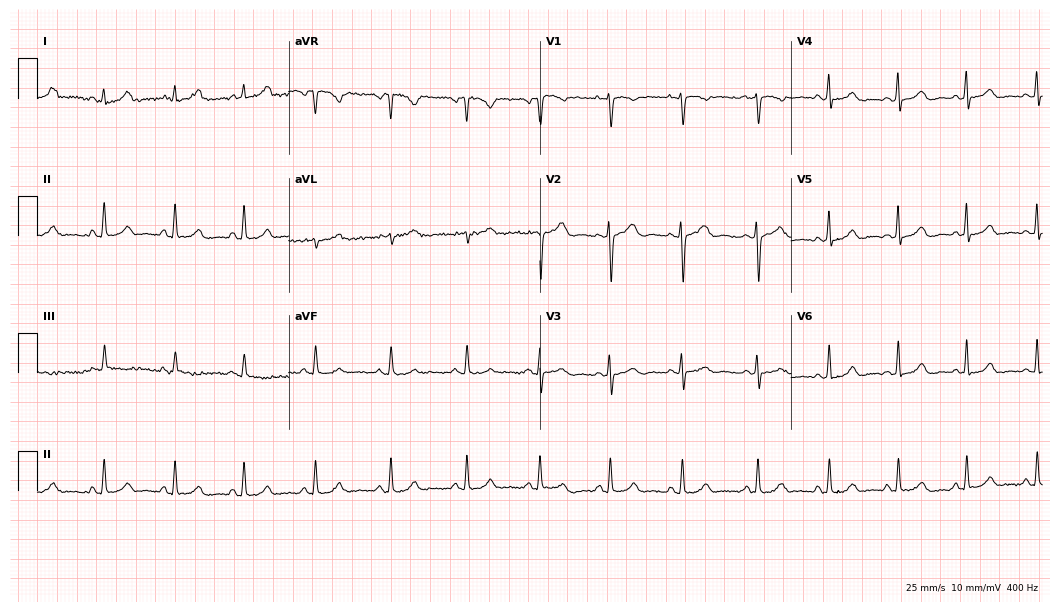
12-lead ECG from a female patient, 28 years old. Screened for six findings — first-degree AV block, right bundle branch block, left bundle branch block, sinus bradycardia, atrial fibrillation, sinus tachycardia — none is recorded.